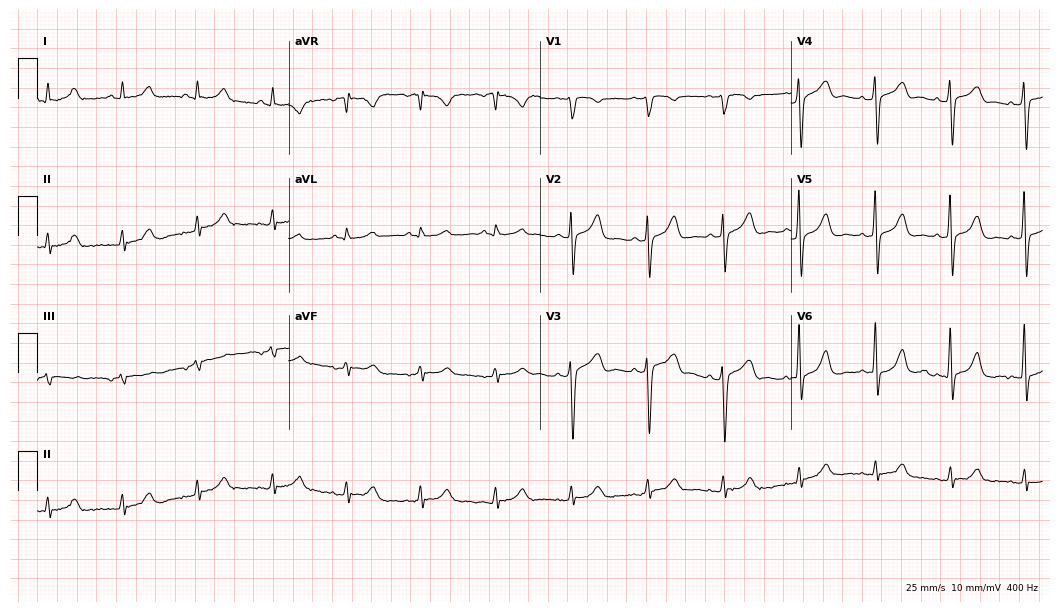
ECG — a 59-year-old male patient. Labelled as a normal ECG.